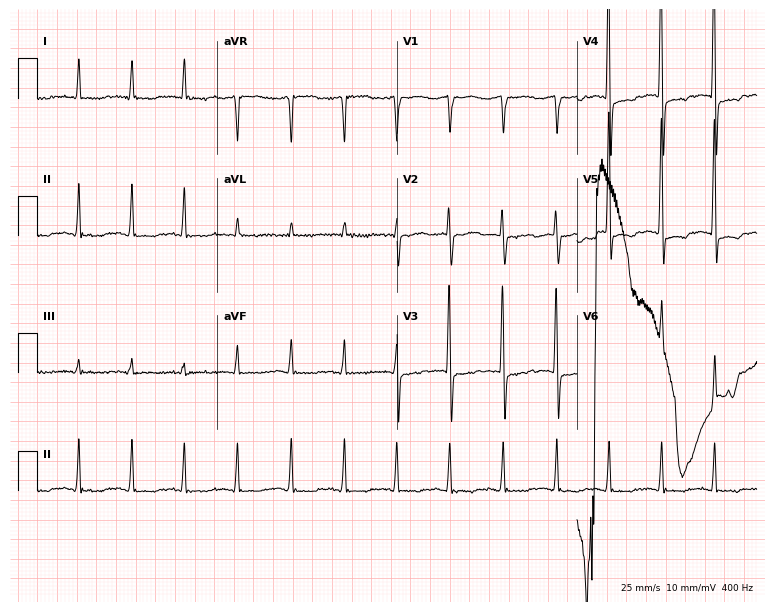
12-lead ECG from a woman, 79 years old. Screened for six findings — first-degree AV block, right bundle branch block, left bundle branch block, sinus bradycardia, atrial fibrillation, sinus tachycardia — none is recorded.